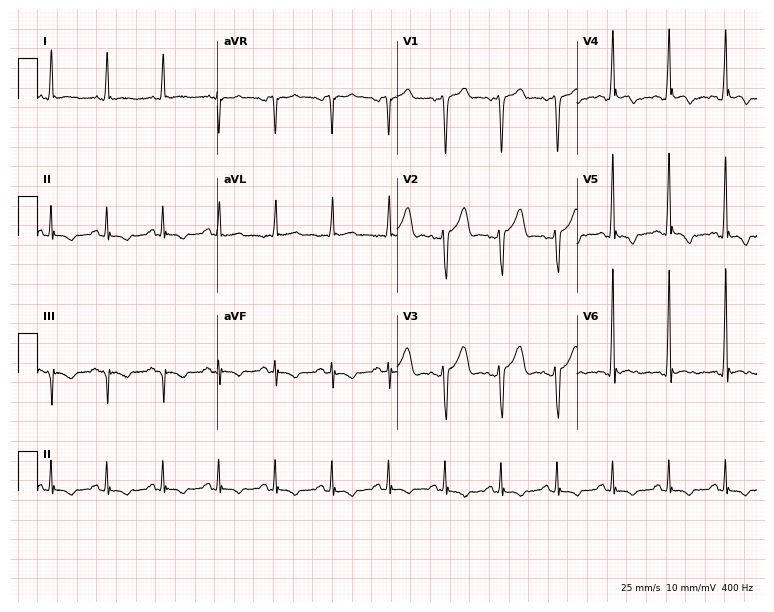
Standard 12-lead ECG recorded from a 40-year-old man (7.3-second recording at 400 Hz). The tracing shows sinus tachycardia (a sinus rate of 100 beats per minute or more).